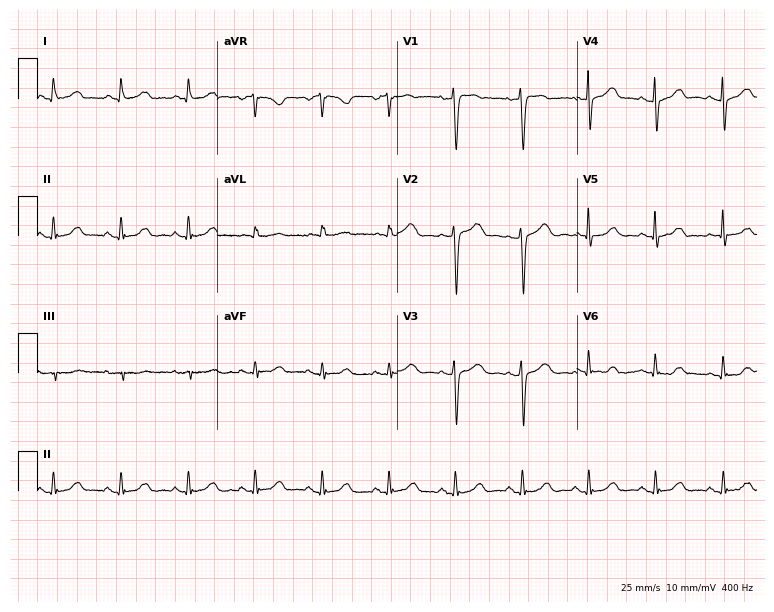
Electrocardiogram (7.3-second recording at 400 Hz), a 69-year-old female patient. Overall reading on record: normal ECG.